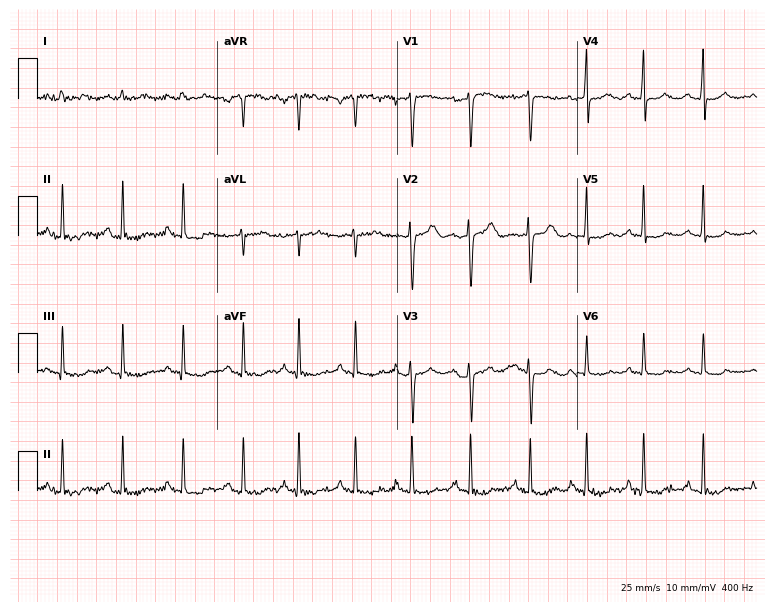
ECG — a female, 20 years old. Screened for six findings — first-degree AV block, right bundle branch block (RBBB), left bundle branch block (LBBB), sinus bradycardia, atrial fibrillation (AF), sinus tachycardia — none is recorded. Only these six findings were labelled.